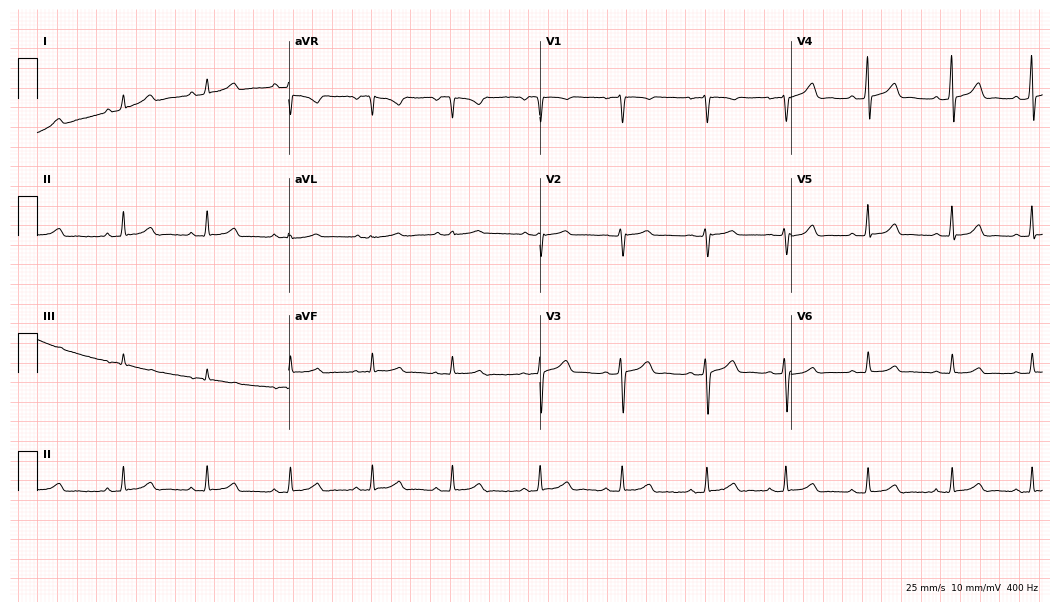
Electrocardiogram, a 35-year-old female patient. Of the six screened findings (first-degree AV block, right bundle branch block, left bundle branch block, sinus bradycardia, atrial fibrillation, sinus tachycardia), none is recorded.